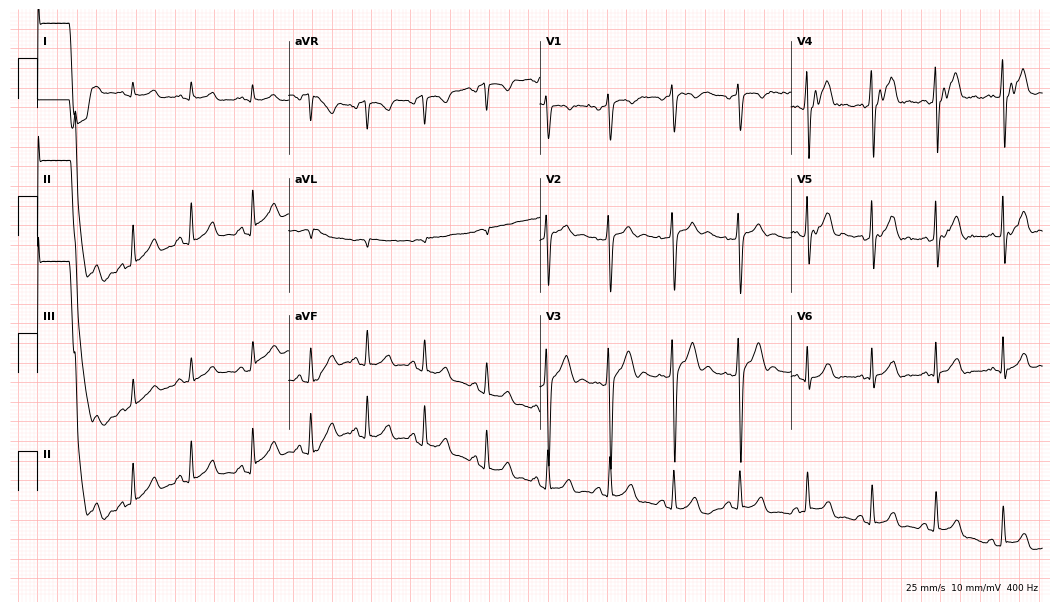
12-lead ECG (10.2-second recording at 400 Hz) from a 23-year-old male patient. Labelled as a normal ECG.